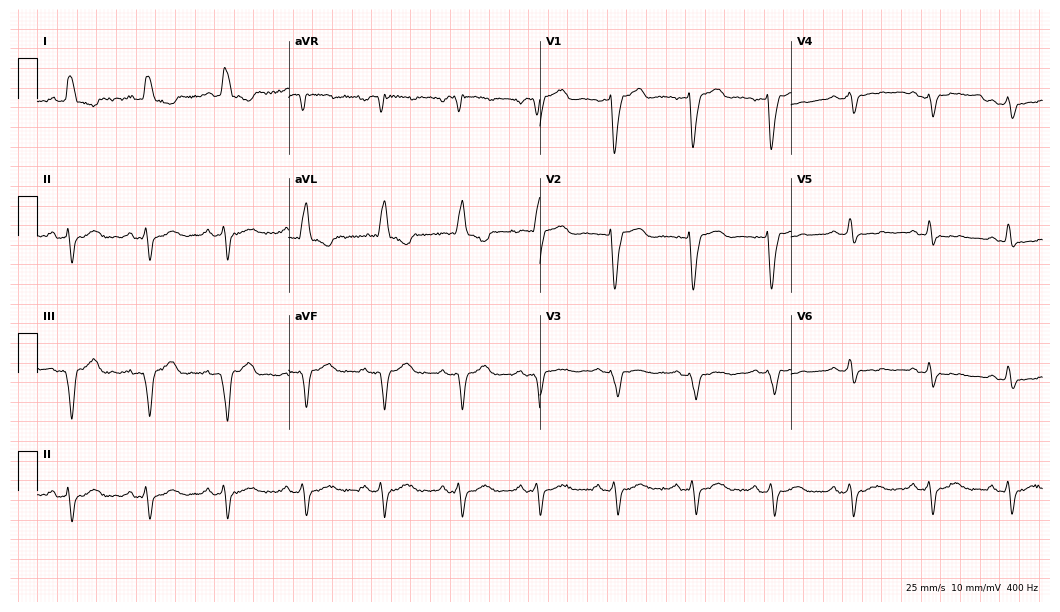
12-lead ECG from a 74-year-old woman. Shows left bundle branch block.